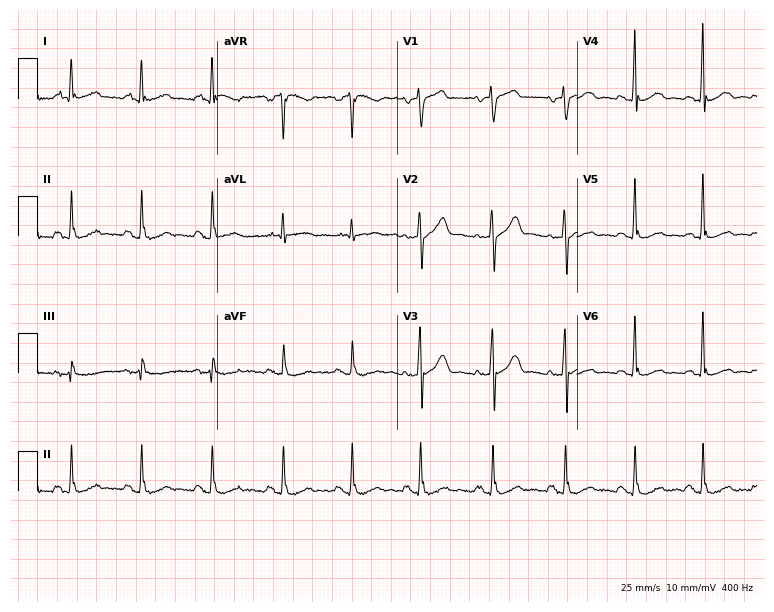
Electrocardiogram (7.3-second recording at 400 Hz), a 68-year-old woman. Of the six screened findings (first-degree AV block, right bundle branch block, left bundle branch block, sinus bradycardia, atrial fibrillation, sinus tachycardia), none is recorded.